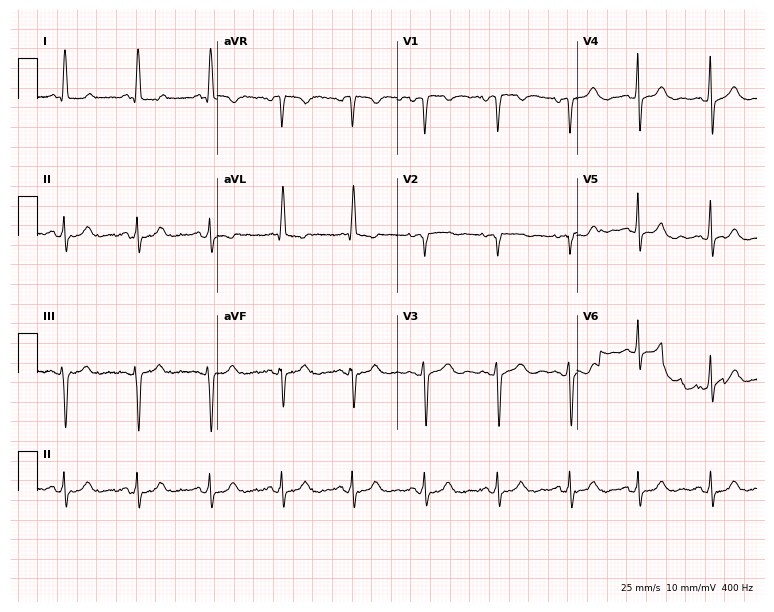
Electrocardiogram (7.3-second recording at 400 Hz), a woman, 79 years old. Of the six screened findings (first-degree AV block, right bundle branch block, left bundle branch block, sinus bradycardia, atrial fibrillation, sinus tachycardia), none is recorded.